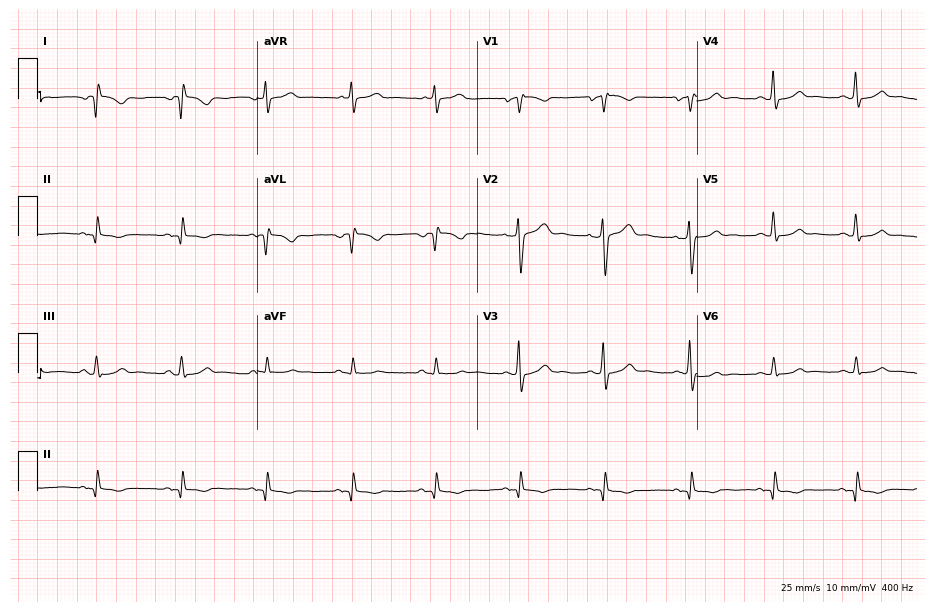
Resting 12-lead electrocardiogram. Patient: a 59-year-old male. Read as a normal ECG.